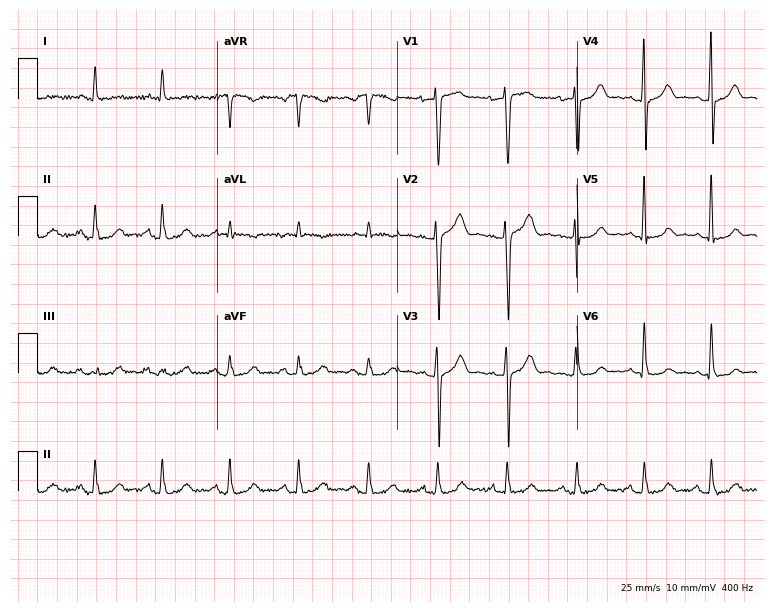
ECG — a female, 55 years old. Labelled as a normal ECG.